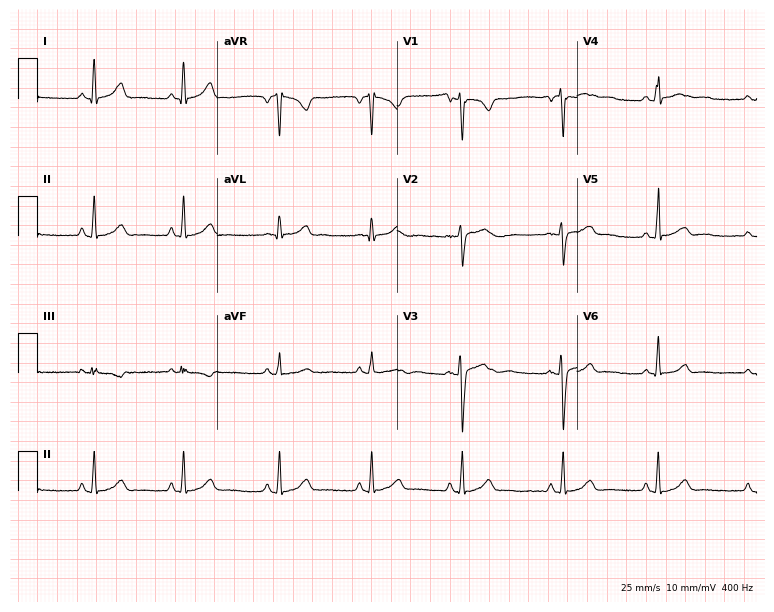
ECG (7.3-second recording at 400 Hz) — a 25-year-old female. Labelled as a normal ECG.